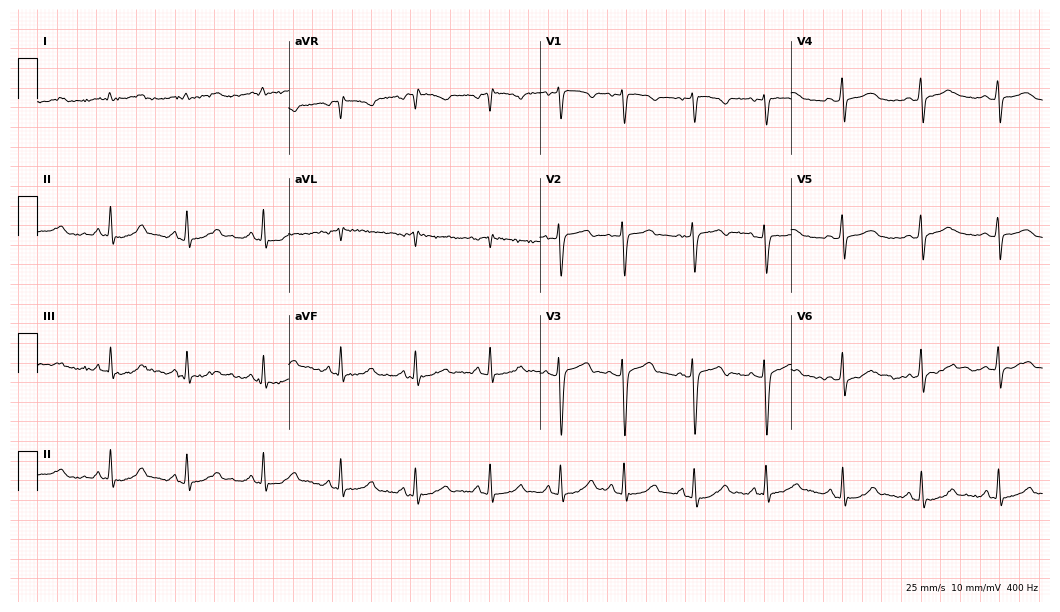
Resting 12-lead electrocardiogram (10.2-second recording at 400 Hz). Patient: a 41-year-old woman. Read as a normal ECG.